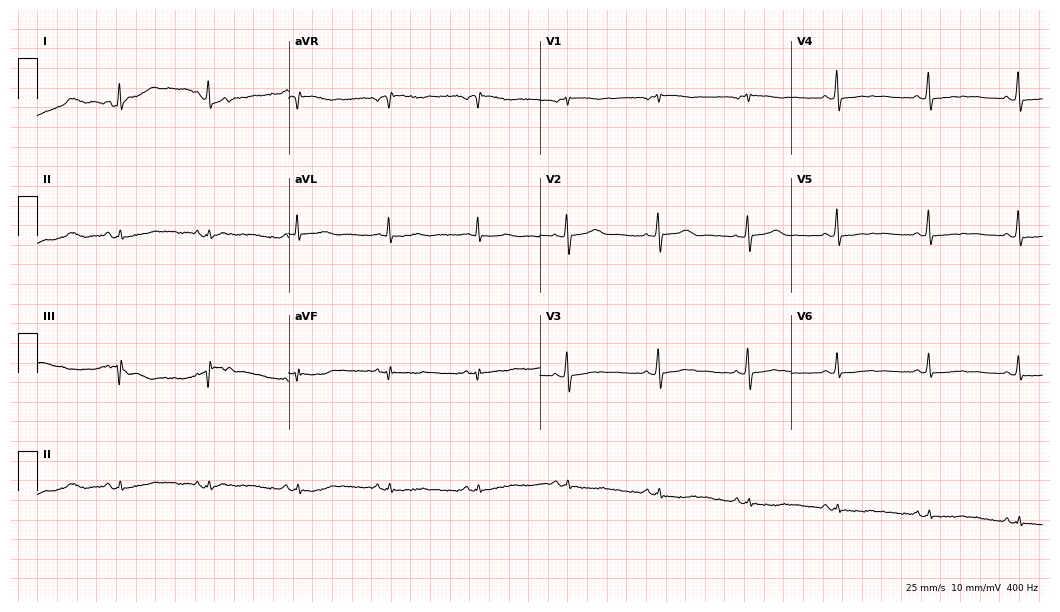
Electrocardiogram (10.2-second recording at 400 Hz), a woman, 62 years old. Of the six screened findings (first-degree AV block, right bundle branch block (RBBB), left bundle branch block (LBBB), sinus bradycardia, atrial fibrillation (AF), sinus tachycardia), none is recorded. Other findings, if any, are not listed.